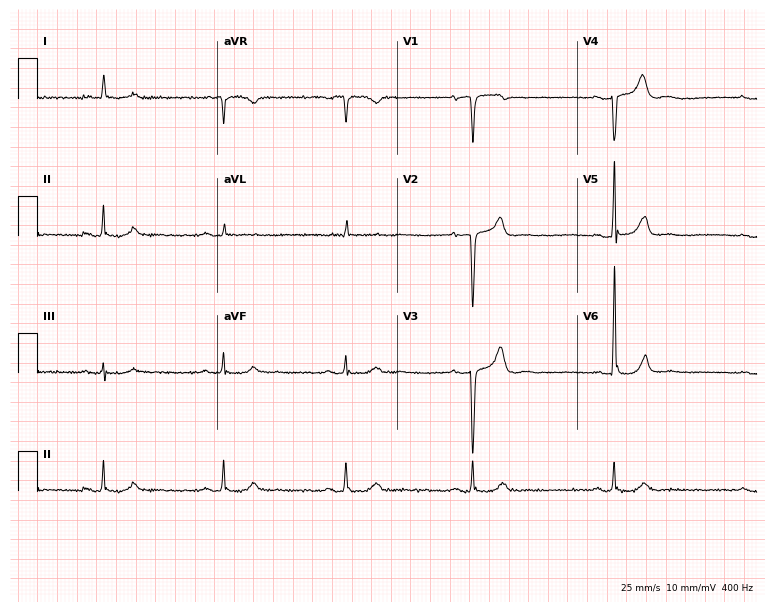
ECG — a male, 72 years old. Findings include sinus bradycardia (a sinus rate of 50 beats per minute or less).